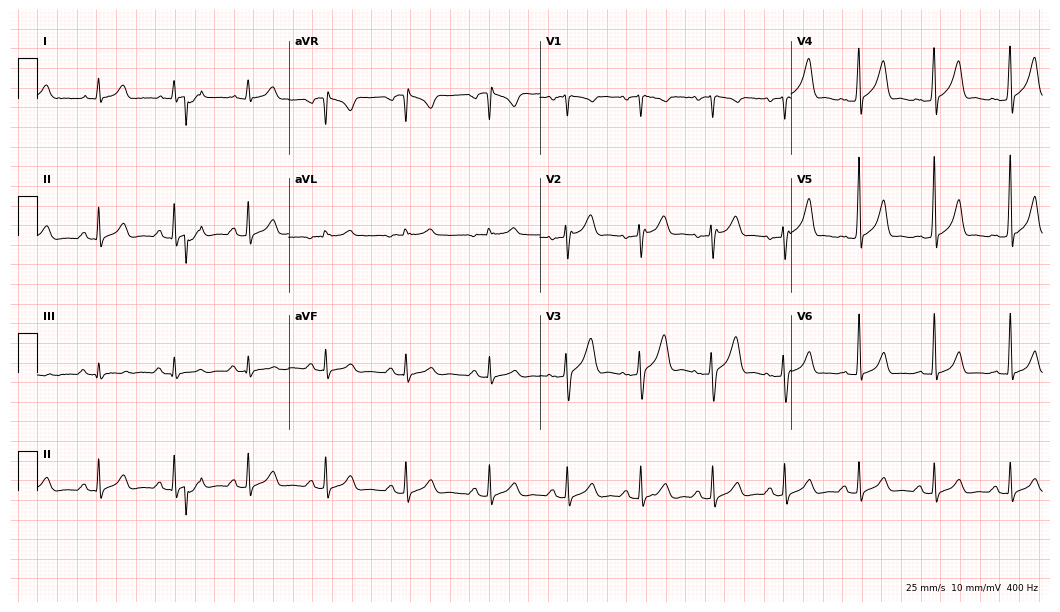
12-lead ECG from a 27-year-old male (10.2-second recording at 400 Hz). No first-degree AV block, right bundle branch block, left bundle branch block, sinus bradycardia, atrial fibrillation or sinus tachycardia recorded for this tracing.